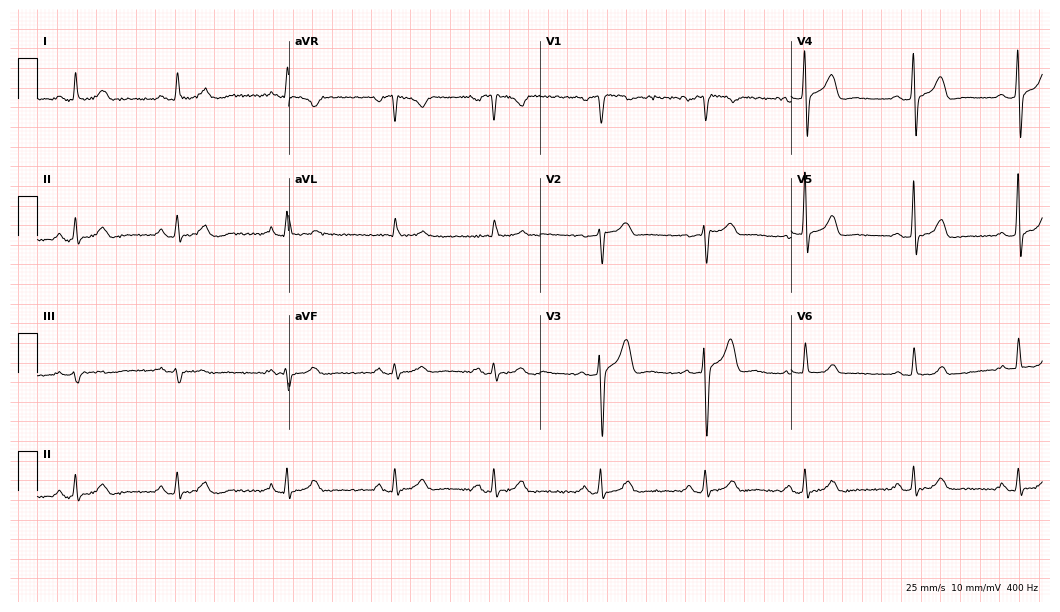
Standard 12-lead ECG recorded from a 51-year-old male patient (10.2-second recording at 400 Hz). Read as a normal ECG.